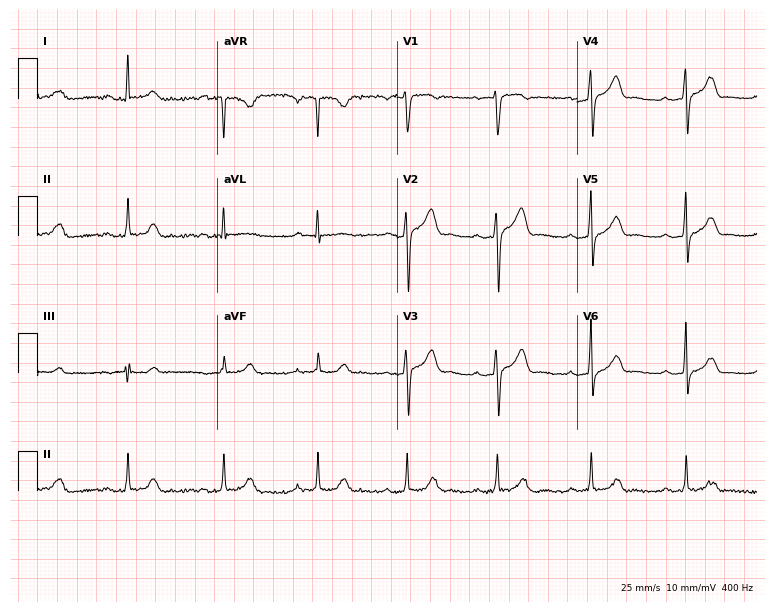
Resting 12-lead electrocardiogram. Patient: a male, 40 years old. The tracing shows first-degree AV block.